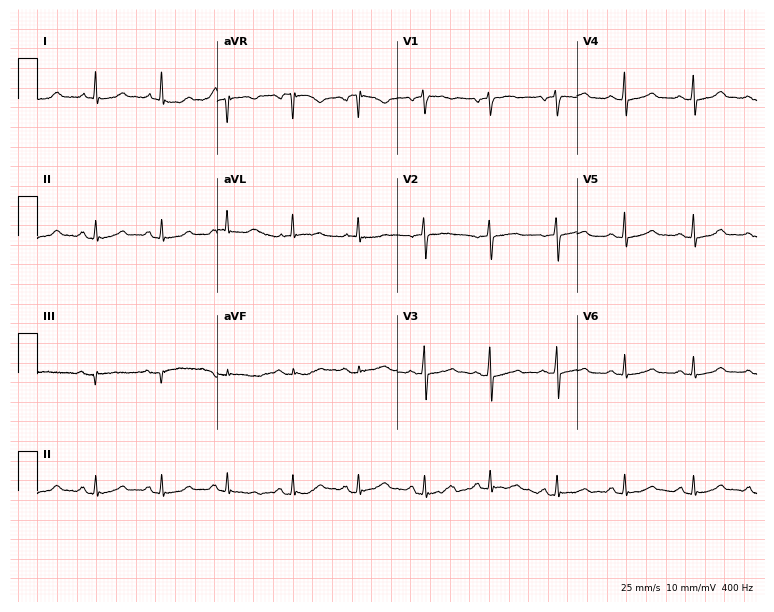
12-lead ECG from a 76-year-old female patient. Recorded interpretation: within normal limits.